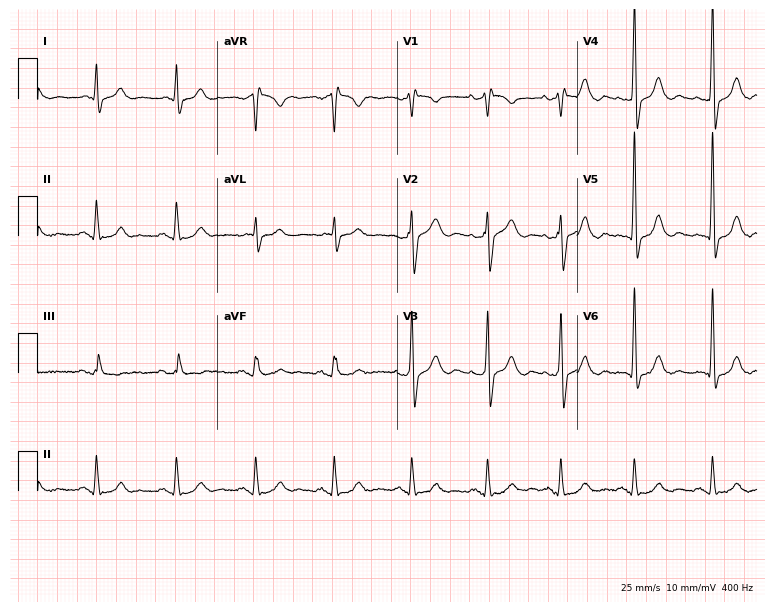
12-lead ECG (7.3-second recording at 400 Hz) from a male patient, 54 years old. Screened for six findings — first-degree AV block, right bundle branch block, left bundle branch block, sinus bradycardia, atrial fibrillation, sinus tachycardia — none is recorded.